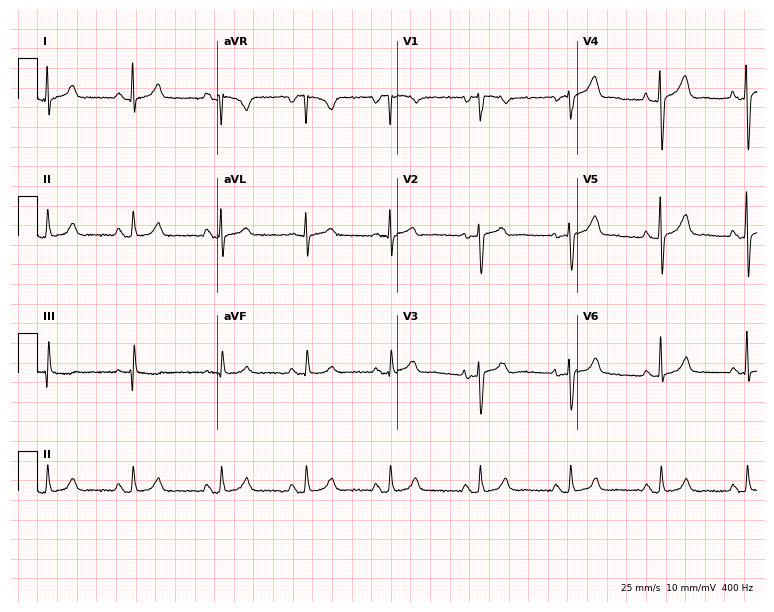
12-lead ECG (7.3-second recording at 400 Hz) from a female patient, 27 years old. Labelled as a normal ECG.